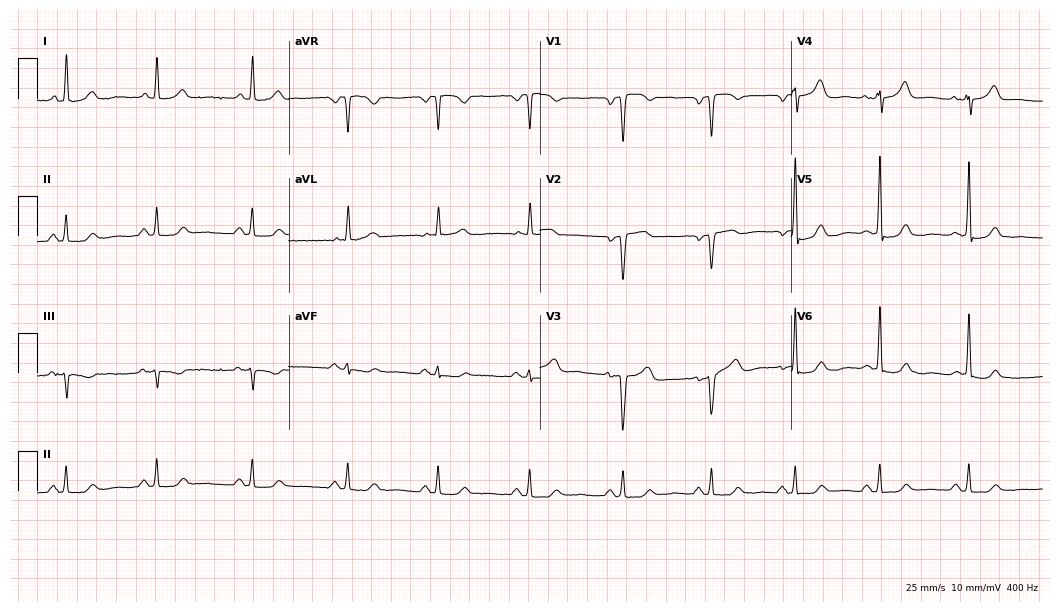
Resting 12-lead electrocardiogram (10.2-second recording at 400 Hz). Patient: a 51-year-old female. Read as a normal ECG.